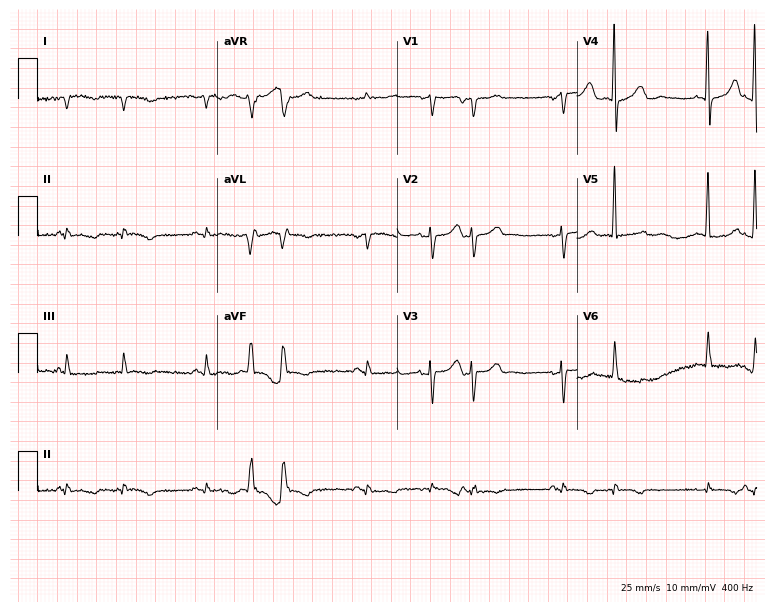
12-lead ECG from a woman, 79 years old. Screened for six findings — first-degree AV block, right bundle branch block, left bundle branch block, sinus bradycardia, atrial fibrillation, sinus tachycardia — none is recorded.